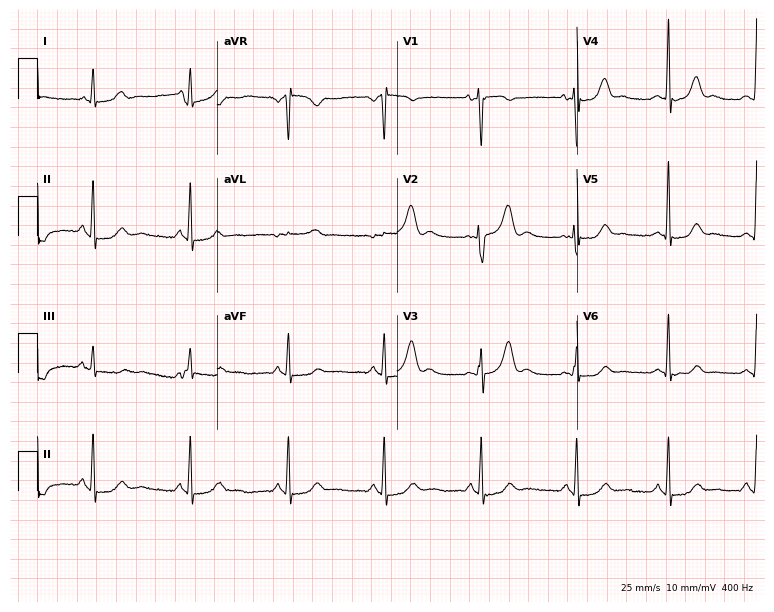
Electrocardiogram, a woman, 33 years old. Overall reading on record: normal ECG.